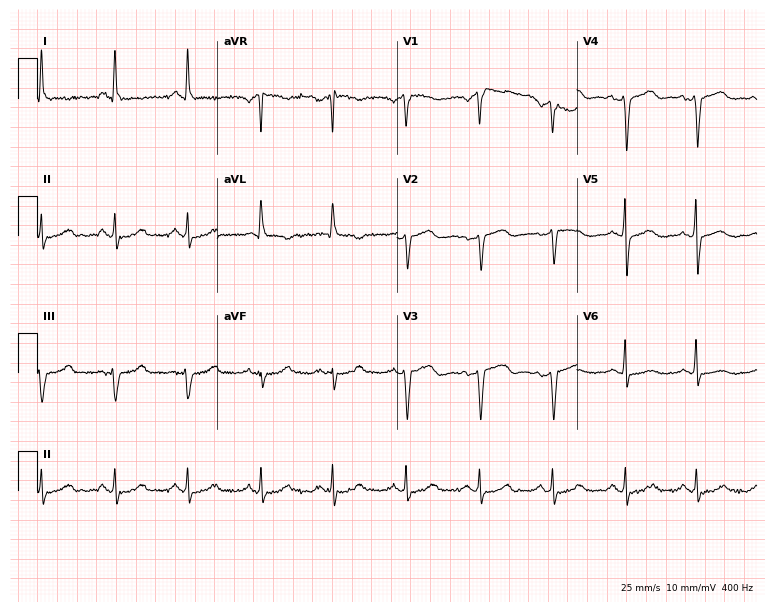
Standard 12-lead ECG recorded from a female patient, 73 years old. None of these six findings is recorded: first-degree AV block, right bundle branch block (RBBB), left bundle branch block (LBBB), sinus bradycardia, atrial fibrillation (AF), sinus tachycardia. Other findings, if any, are not listed.